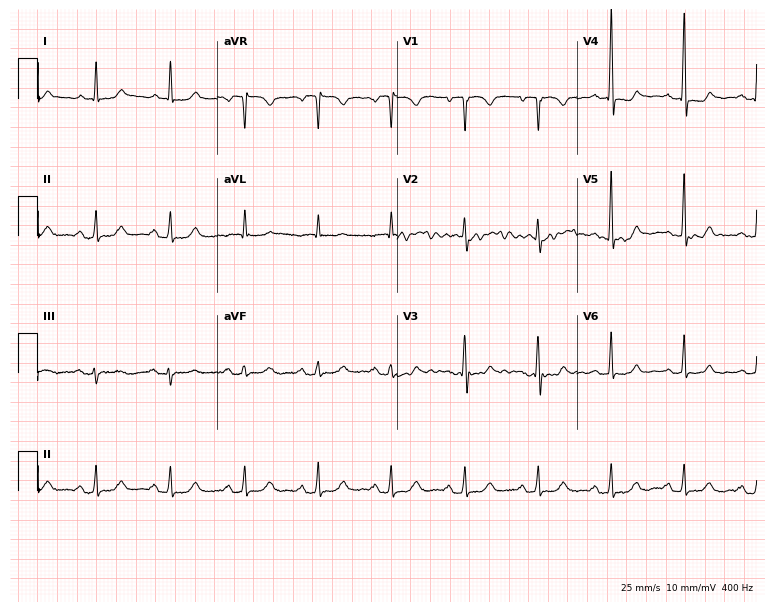
12-lead ECG (7.3-second recording at 400 Hz) from a female patient, 73 years old. Labelled as a normal ECG.